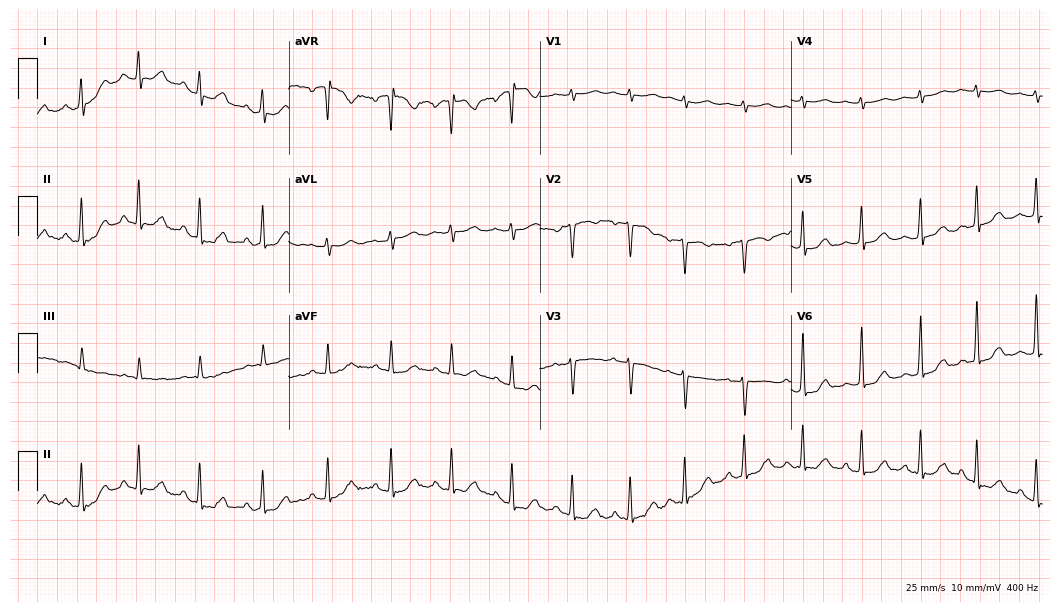
ECG (10.2-second recording at 400 Hz) — a 47-year-old female. Screened for six findings — first-degree AV block, right bundle branch block (RBBB), left bundle branch block (LBBB), sinus bradycardia, atrial fibrillation (AF), sinus tachycardia — none is recorded.